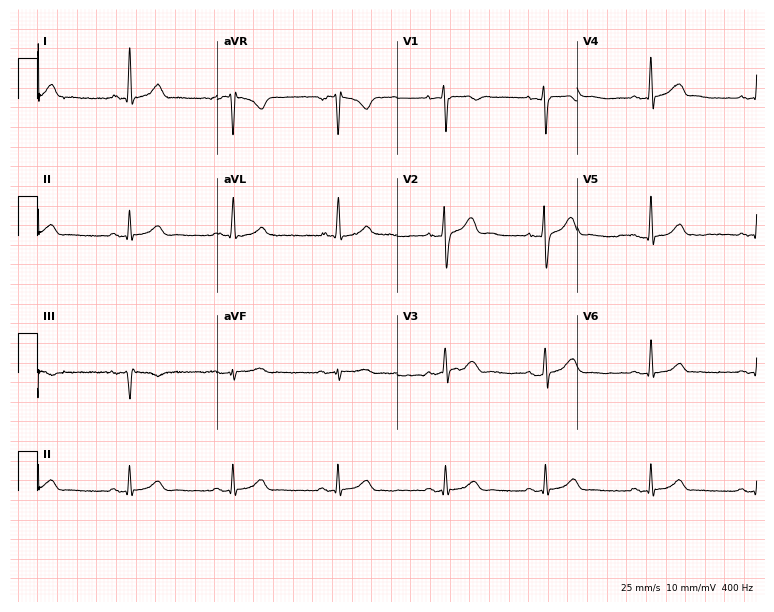
Standard 12-lead ECG recorded from a 35-year-old man. None of these six findings is recorded: first-degree AV block, right bundle branch block (RBBB), left bundle branch block (LBBB), sinus bradycardia, atrial fibrillation (AF), sinus tachycardia. Only these six findings were labelled.